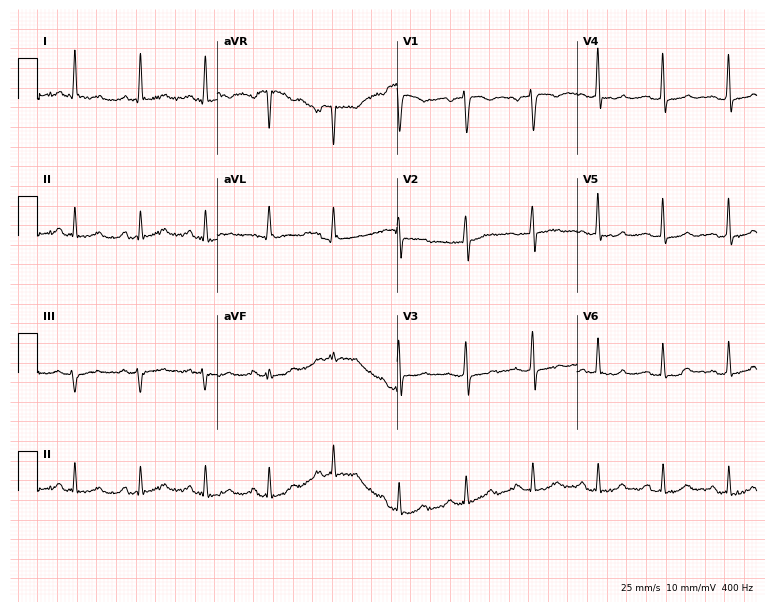
Electrocardiogram, a 60-year-old woman. Overall reading on record: normal ECG.